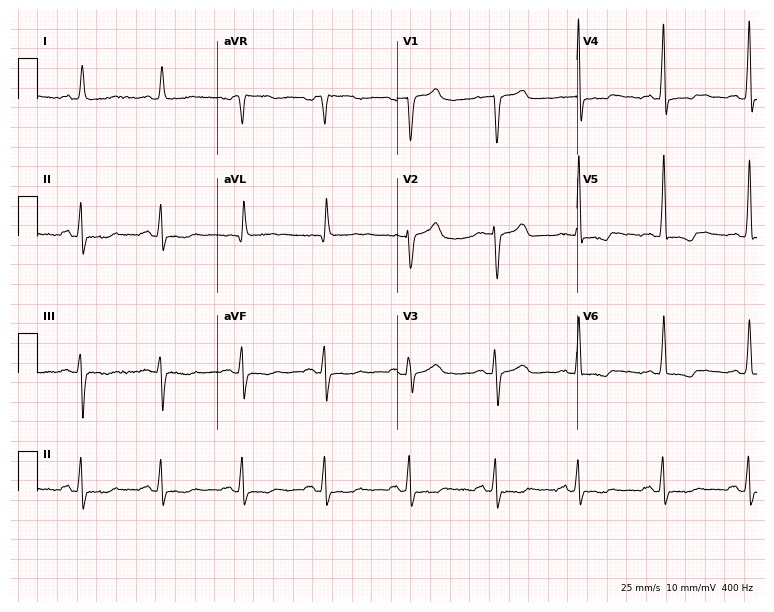
12-lead ECG from a 67-year-old man (7.3-second recording at 400 Hz). No first-degree AV block, right bundle branch block, left bundle branch block, sinus bradycardia, atrial fibrillation or sinus tachycardia recorded for this tracing. Other findings, if any, are not listed.